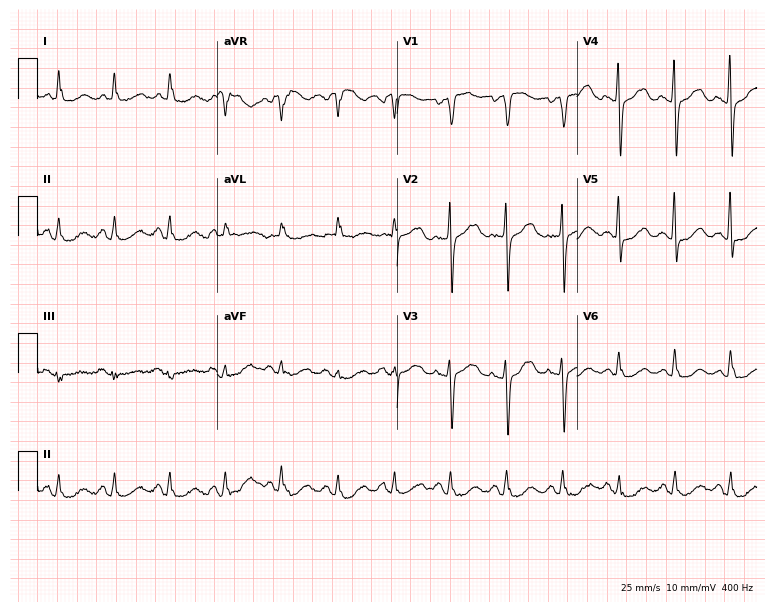
Resting 12-lead electrocardiogram. Patient: a female, 68 years old. The tracing shows sinus tachycardia (a sinus rate of 100 beats per minute or more).